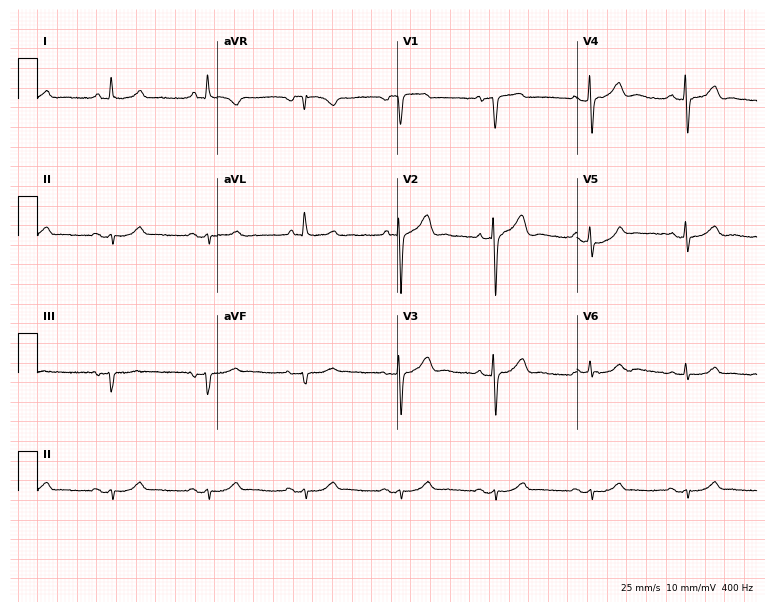
Electrocardiogram, a male, 78 years old. Of the six screened findings (first-degree AV block, right bundle branch block (RBBB), left bundle branch block (LBBB), sinus bradycardia, atrial fibrillation (AF), sinus tachycardia), none is recorded.